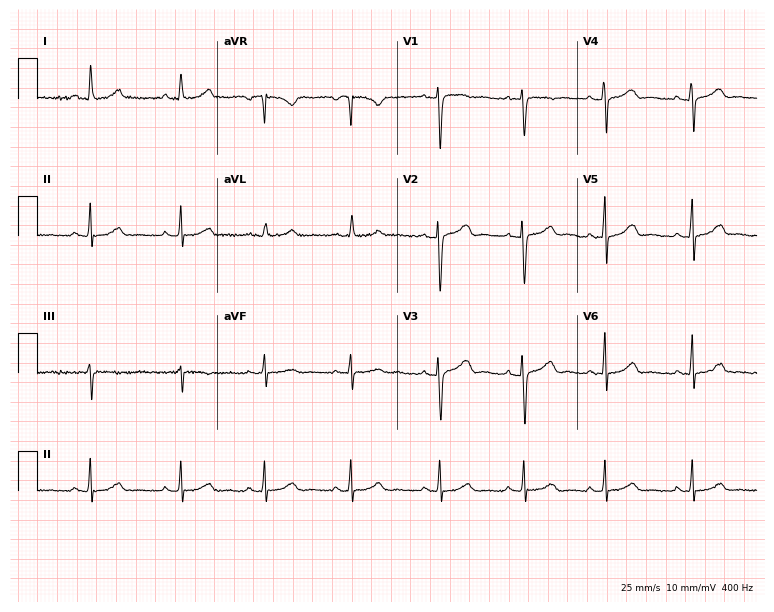
Electrocardiogram, a female, 43 years old. Of the six screened findings (first-degree AV block, right bundle branch block, left bundle branch block, sinus bradycardia, atrial fibrillation, sinus tachycardia), none is recorded.